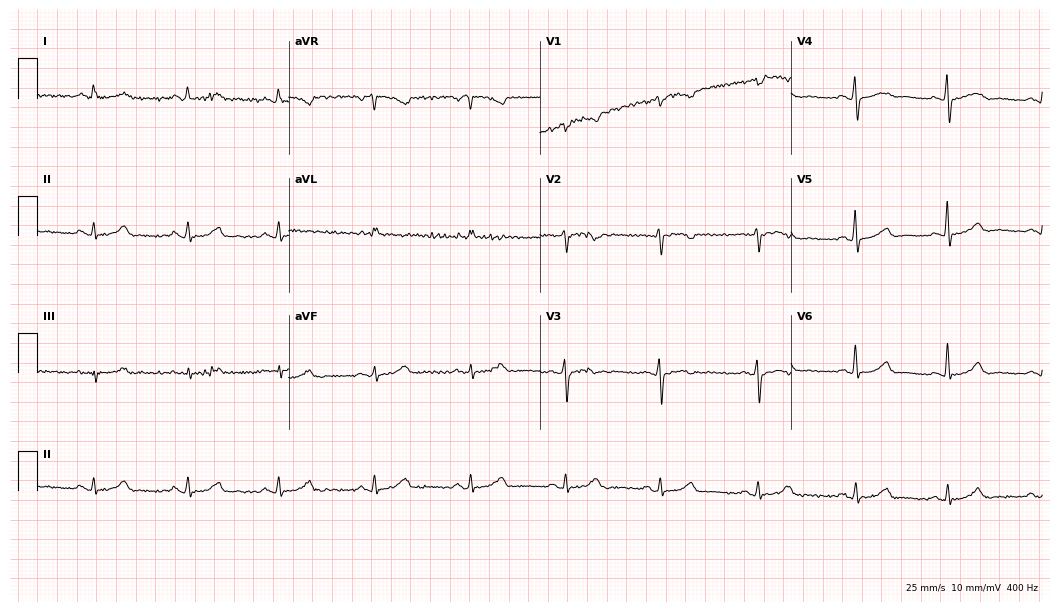
Standard 12-lead ECG recorded from a 70-year-old female. None of these six findings is recorded: first-degree AV block, right bundle branch block, left bundle branch block, sinus bradycardia, atrial fibrillation, sinus tachycardia. Only these six findings were labelled.